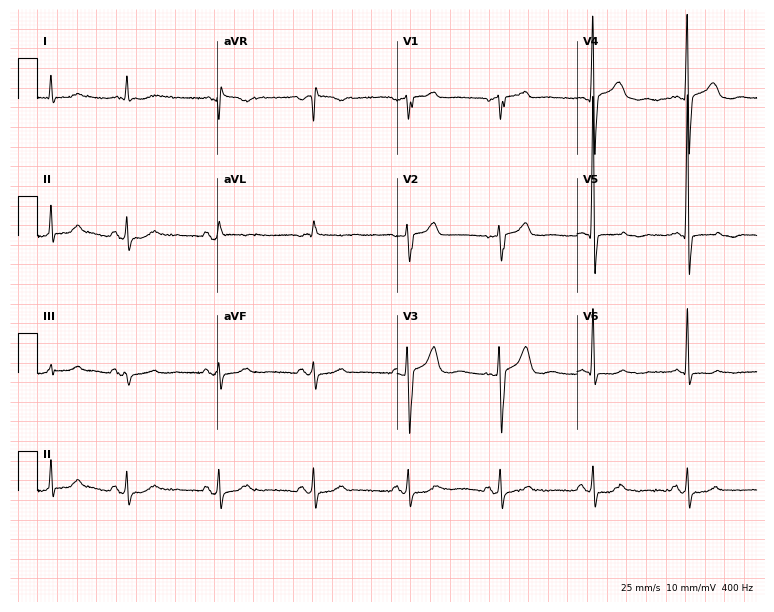
Standard 12-lead ECG recorded from a male patient, 82 years old. None of these six findings is recorded: first-degree AV block, right bundle branch block (RBBB), left bundle branch block (LBBB), sinus bradycardia, atrial fibrillation (AF), sinus tachycardia.